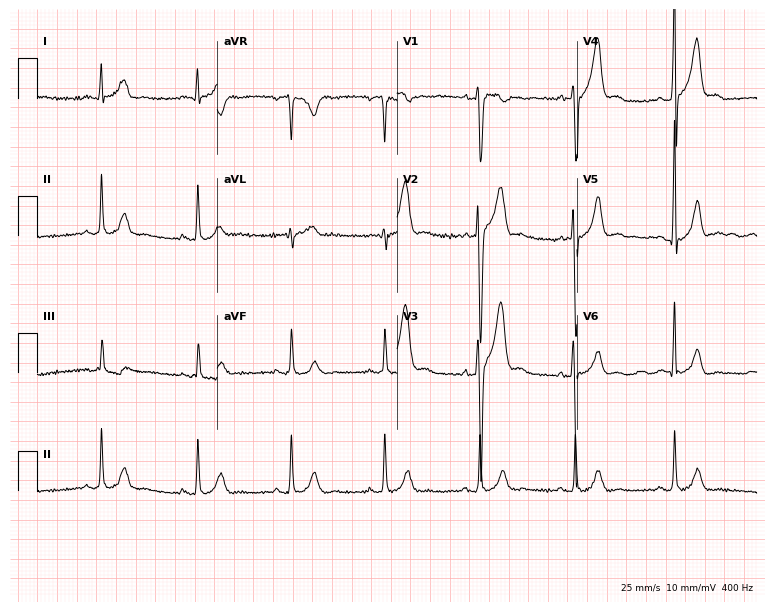
ECG (7.3-second recording at 400 Hz) — a man, 25 years old. Labelled as a normal ECG.